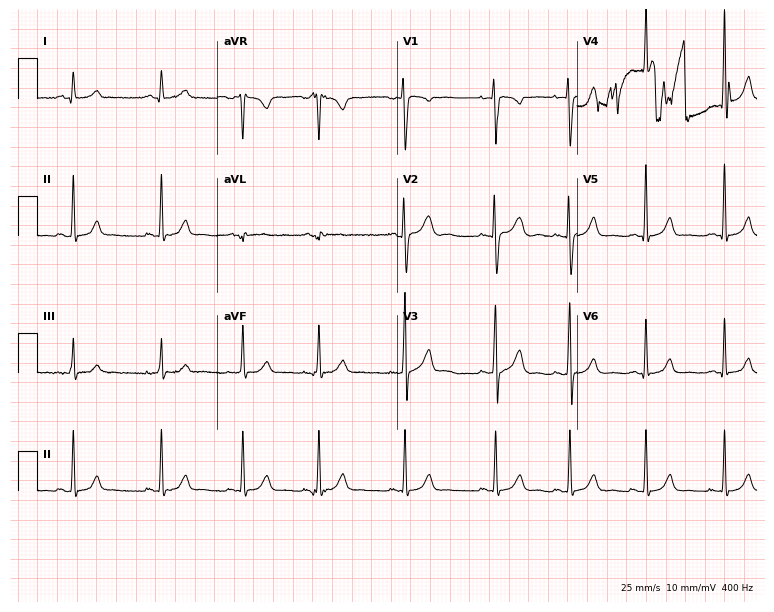
ECG (7.3-second recording at 400 Hz) — a woman, 17 years old. Labelled as a normal ECG.